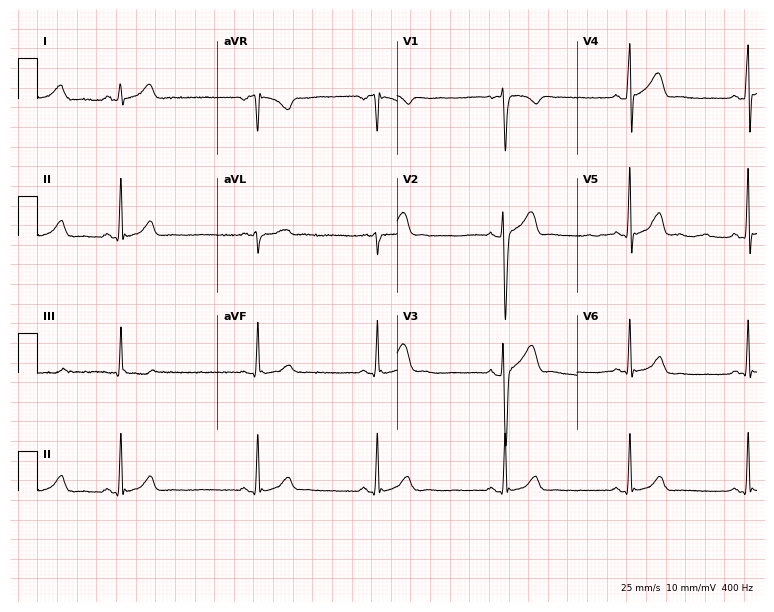
Resting 12-lead electrocardiogram (7.3-second recording at 400 Hz). Patient: a 31-year-old man. Read as a normal ECG.